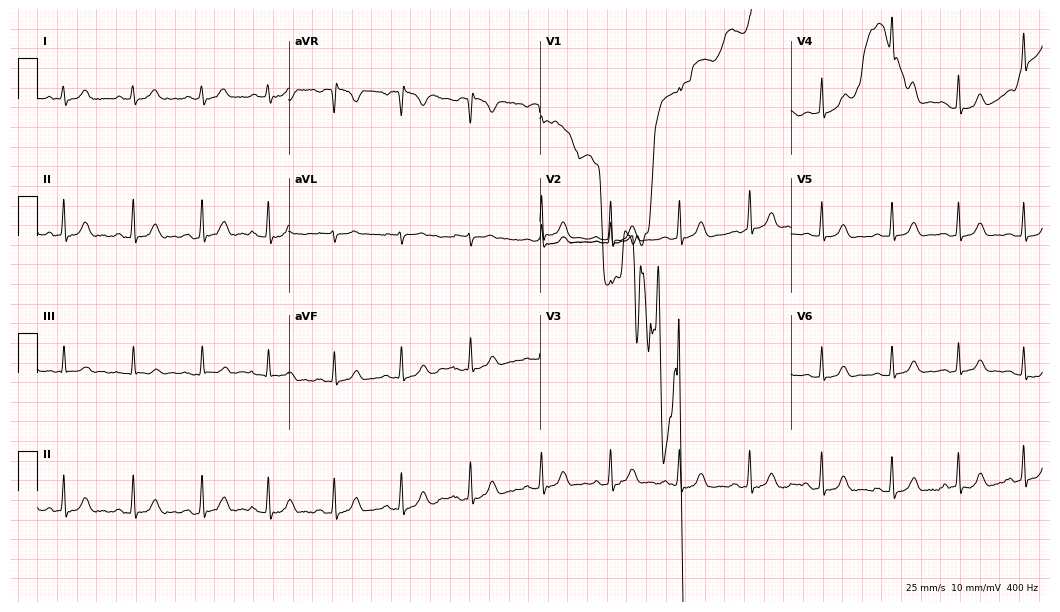
12-lead ECG from a female, 30 years old (10.2-second recording at 400 Hz). No first-degree AV block, right bundle branch block, left bundle branch block, sinus bradycardia, atrial fibrillation or sinus tachycardia recorded for this tracing.